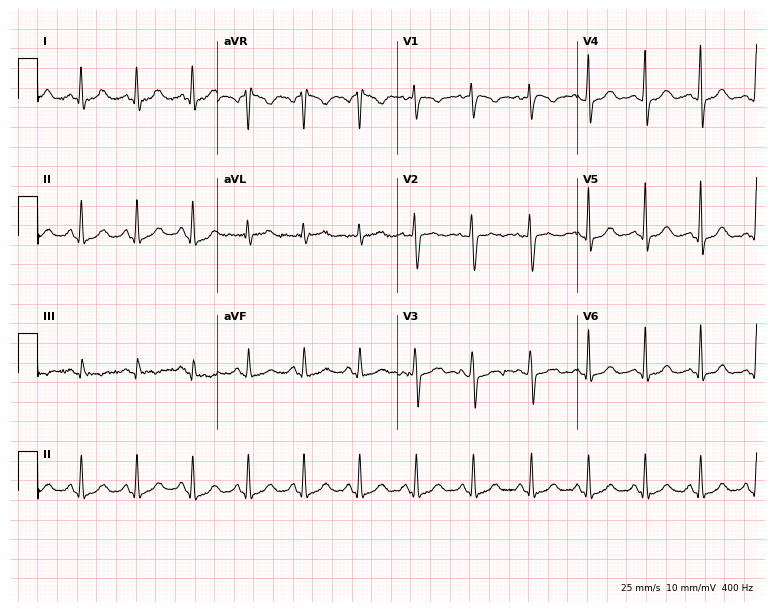
Electrocardiogram (7.3-second recording at 400 Hz), a female patient, 49 years old. Overall reading on record: normal ECG.